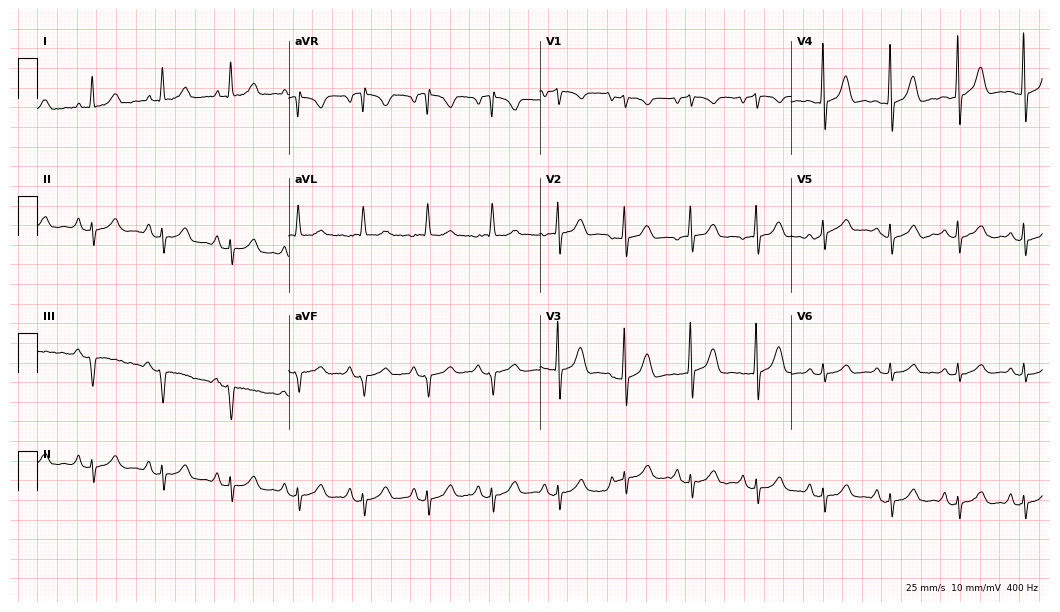
12-lead ECG from a female, 53 years old. Screened for six findings — first-degree AV block, right bundle branch block, left bundle branch block, sinus bradycardia, atrial fibrillation, sinus tachycardia — none is recorded. Only these six findings were labelled.